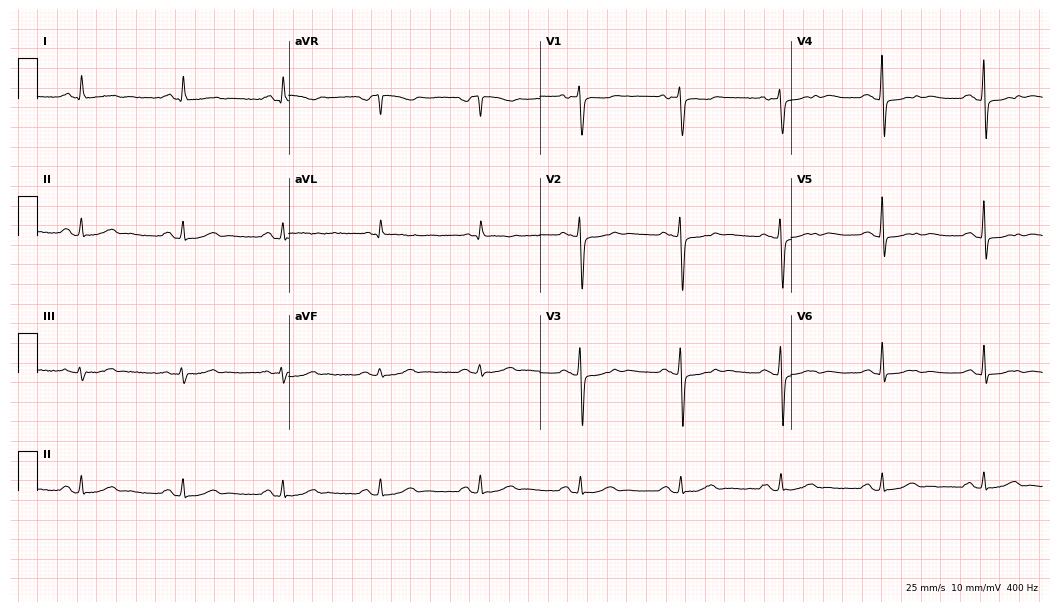
Electrocardiogram (10.2-second recording at 400 Hz), a 72-year-old female patient. Of the six screened findings (first-degree AV block, right bundle branch block, left bundle branch block, sinus bradycardia, atrial fibrillation, sinus tachycardia), none is recorded. Only these six findings were labelled.